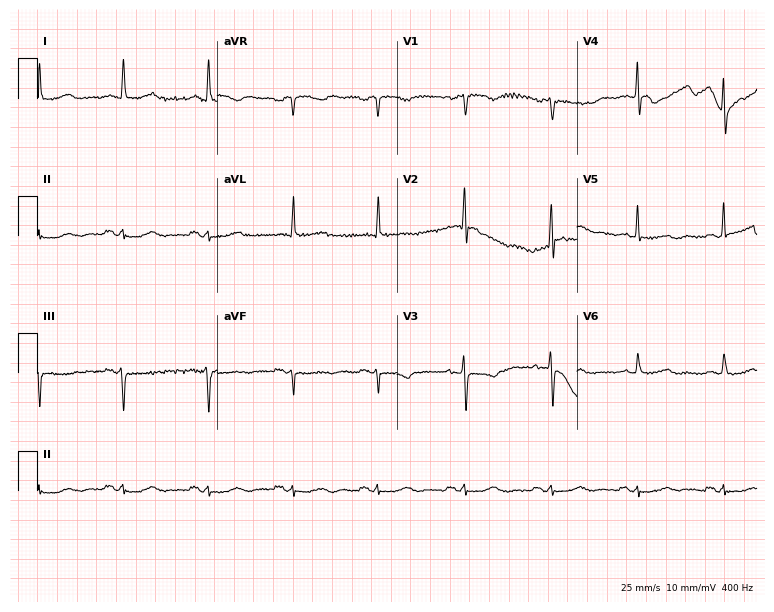
ECG (7.3-second recording at 400 Hz) — a 68-year-old woman. Screened for six findings — first-degree AV block, right bundle branch block, left bundle branch block, sinus bradycardia, atrial fibrillation, sinus tachycardia — none is recorded. Other findings, if any, are not listed.